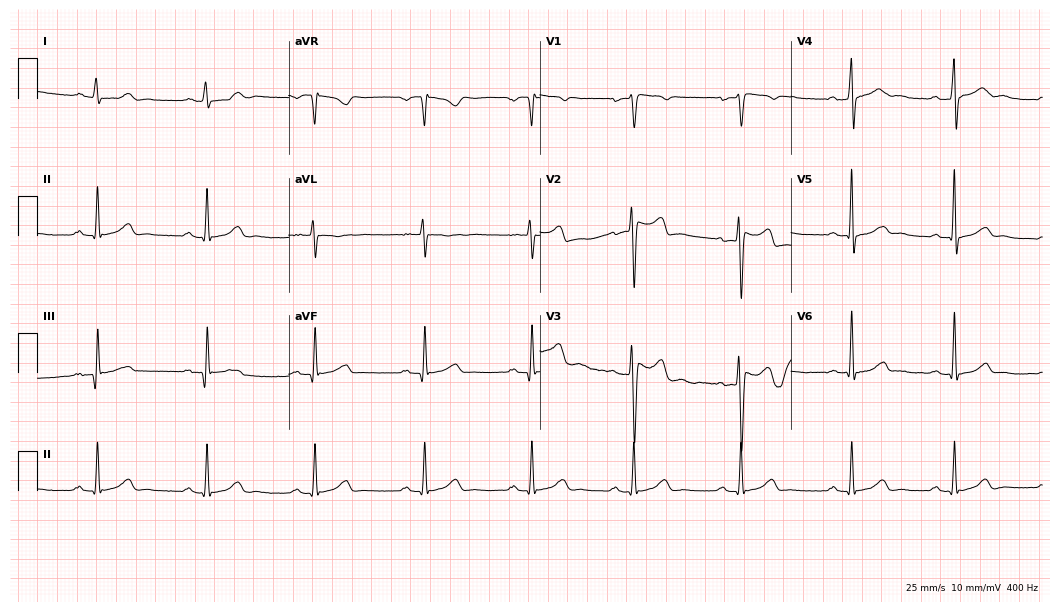
Electrocardiogram, a 26-year-old woman. Of the six screened findings (first-degree AV block, right bundle branch block, left bundle branch block, sinus bradycardia, atrial fibrillation, sinus tachycardia), none is recorded.